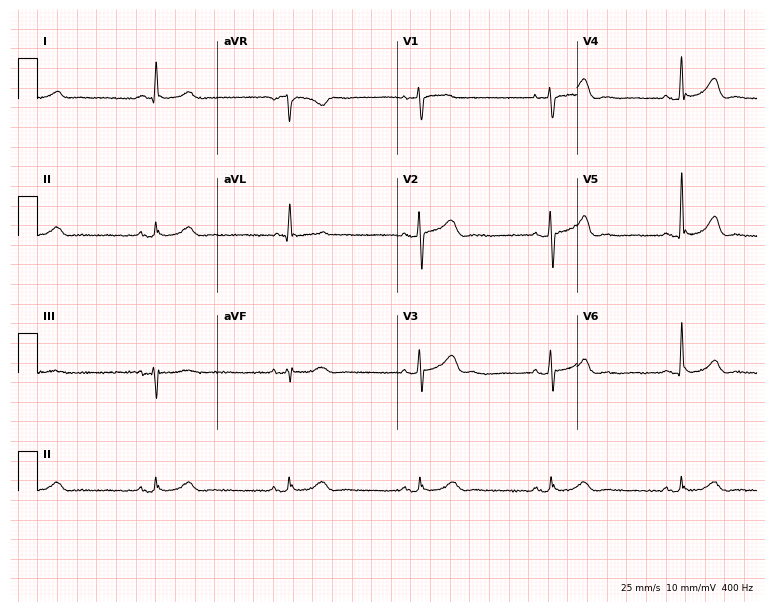
ECG (7.3-second recording at 400 Hz) — a 57-year-old female patient. Findings include sinus bradycardia (a sinus rate of 50 beats per minute or less).